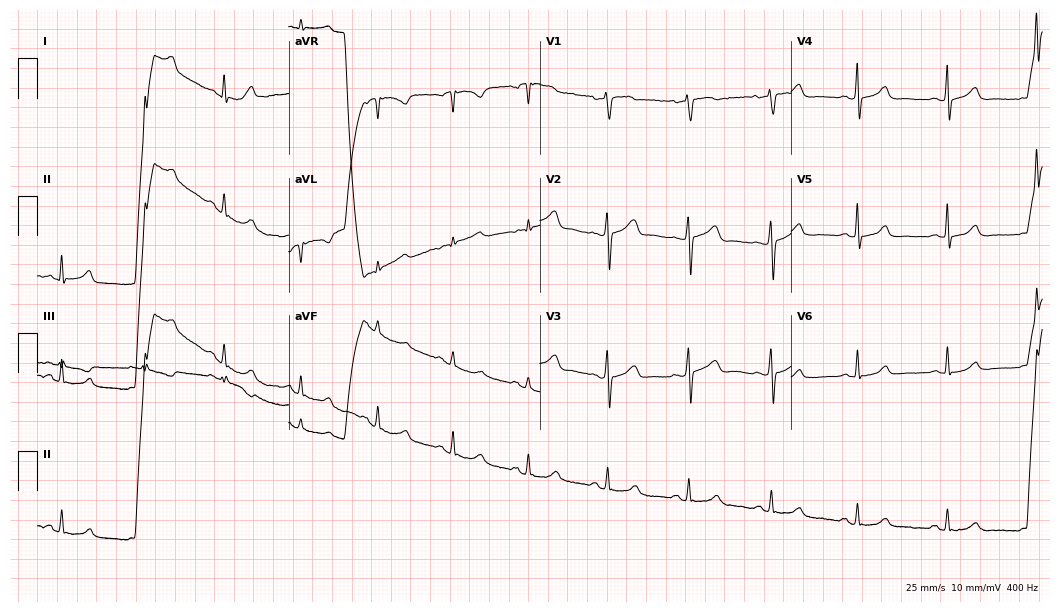
Resting 12-lead electrocardiogram (10.2-second recording at 400 Hz). Patient: a female, 41 years old. None of these six findings is recorded: first-degree AV block, right bundle branch block (RBBB), left bundle branch block (LBBB), sinus bradycardia, atrial fibrillation (AF), sinus tachycardia.